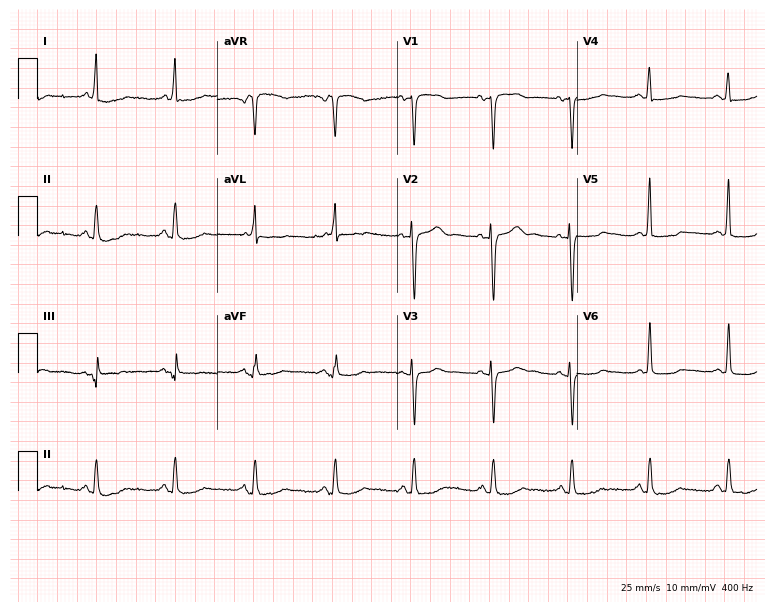
ECG — a 78-year-old woman. Screened for six findings — first-degree AV block, right bundle branch block (RBBB), left bundle branch block (LBBB), sinus bradycardia, atrial fibrillation (AF), sinus tachycardia — none is recorded. Findings outside these six are not listed.